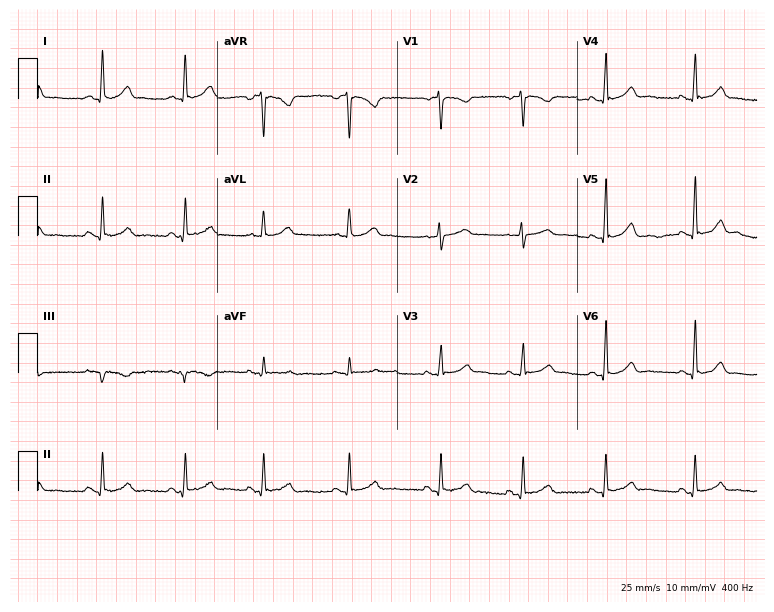
Standard 12-lead ECG recorded from a 41-year-old female. None of these six findings is recorded: first-degree AV block, right bundle branch block (RBBB), left bundle branch block (LBBB), sinus bradycardia, atrial fibrillation (AF), sinus tachycardia.